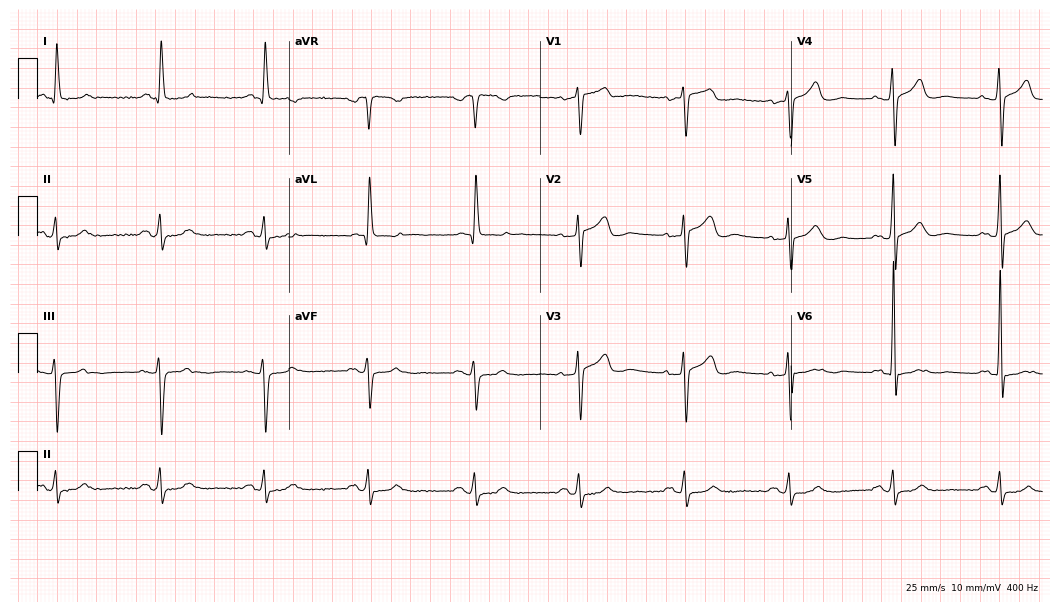
12-lead ECG from a man, 79 years old (10.2-second recording at 400 Hz). No first-degree AV block, right bundle branch block, left bundle branch block, sinus bradycardia, atrial fibrillation or sinus tachycardia recorded for this tracing.